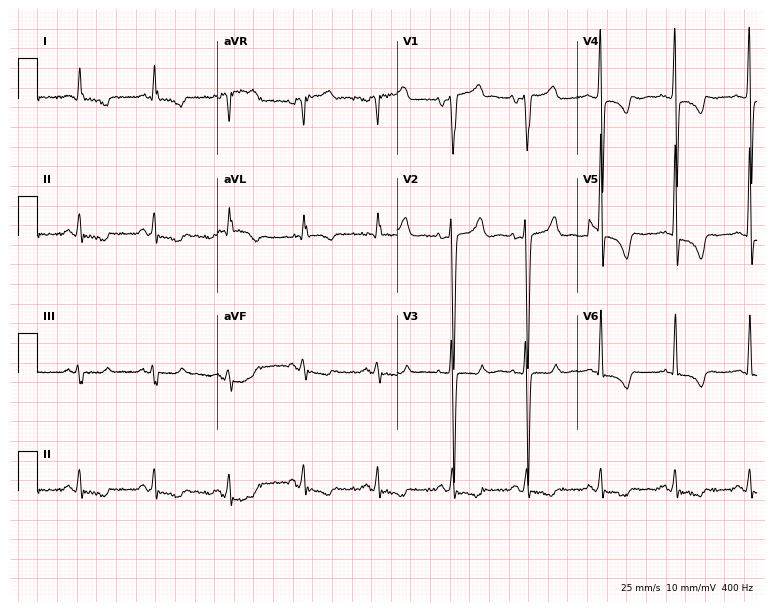
12-lead ECG (7.3-second recording at 400 Hz) from a male, 55 years old. Screened for six findings — first-degree AV block, right bundle branch block, left bundle branch block, sinus bradycardia, atrial fibrillation, sinus tachycardia — none is recorded.